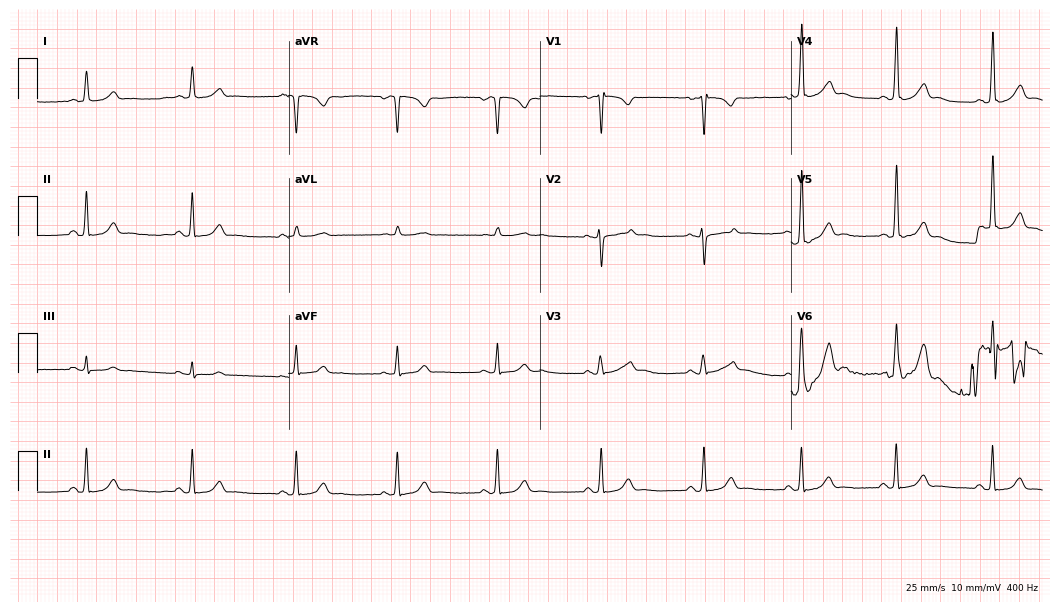
Electrocardiogram (10.2-second recording at 400 Hz), a female patient, 33 years old. Overall reading on record: normal ECG.